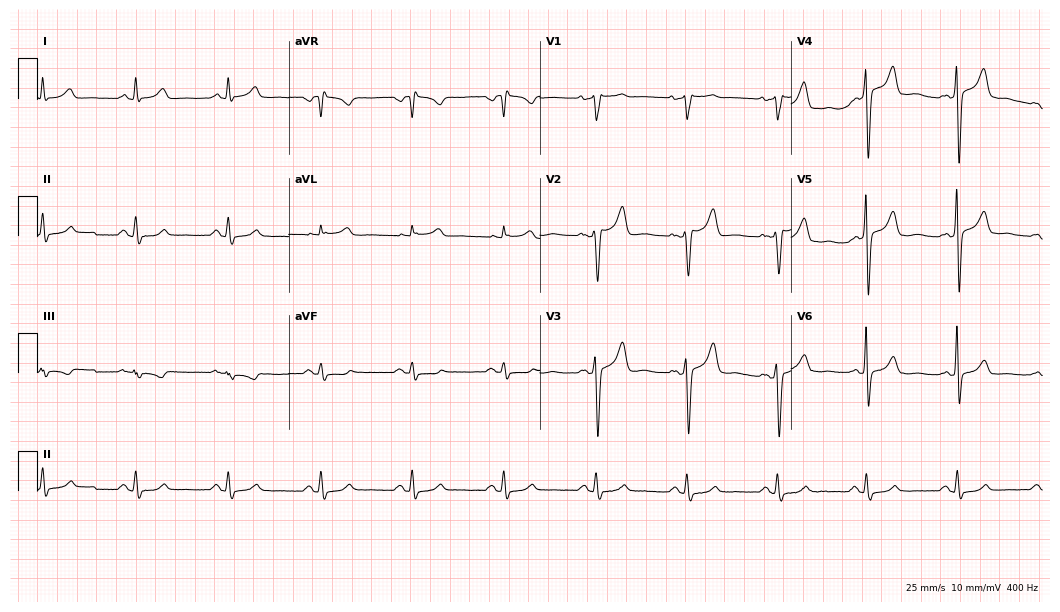
Standard 12-lead ECG recorded from a male, 55 years old (10.2-second recording at 400 Hz). None of these six findings is recorded: first-degree AV block, right bundle branch block (RBBB), left bundle branch block (LBBB), sinus bradycardia, atrial fibrillation (AF), sinus tachycardia.